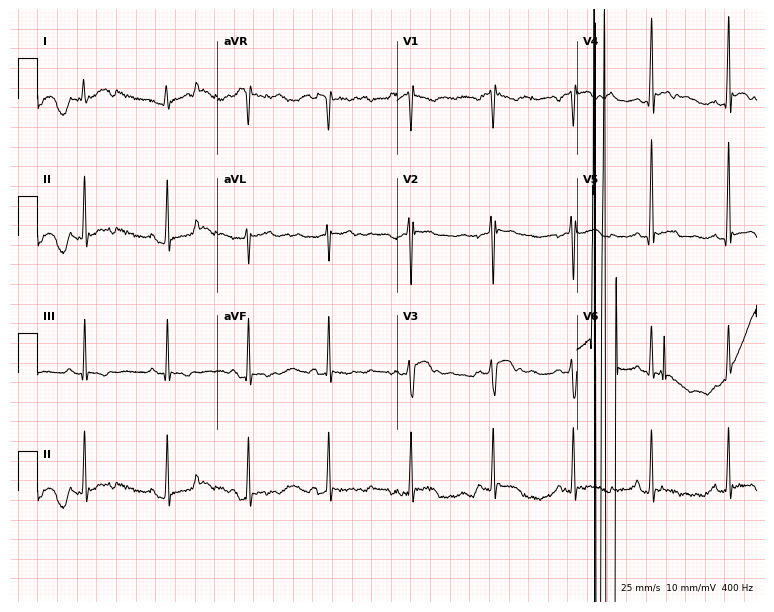
Electrocardiogram, a male patient, 22 years old. Of the six screened findings (first-degree AV block, right bundle branch block (RBBB), left bundle branch block (LBBB), sinus bradycardia, atrial fibrillation (AF), sinus tachycardia), none is recorded. Only these six findings were labelled.